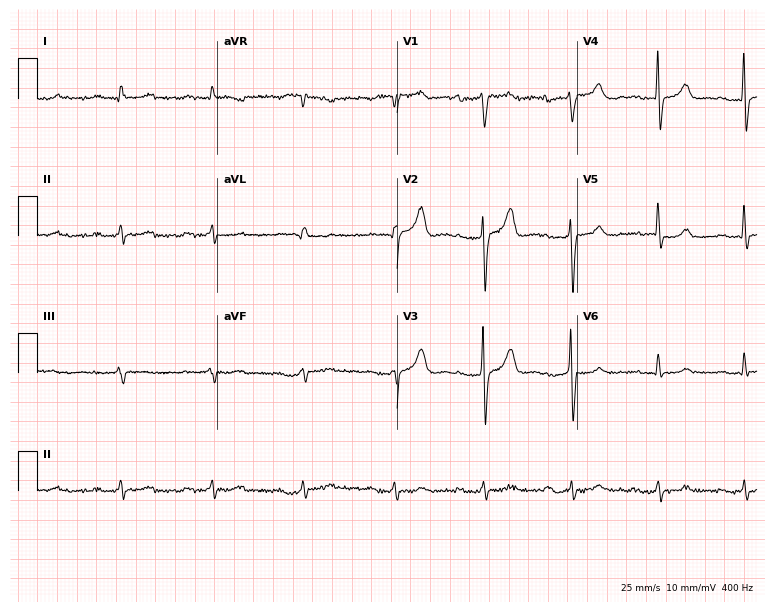
12-lead ECG from a male, 58 years old (7.3-second recording at 400 Hz). Shows first-degree AV block.